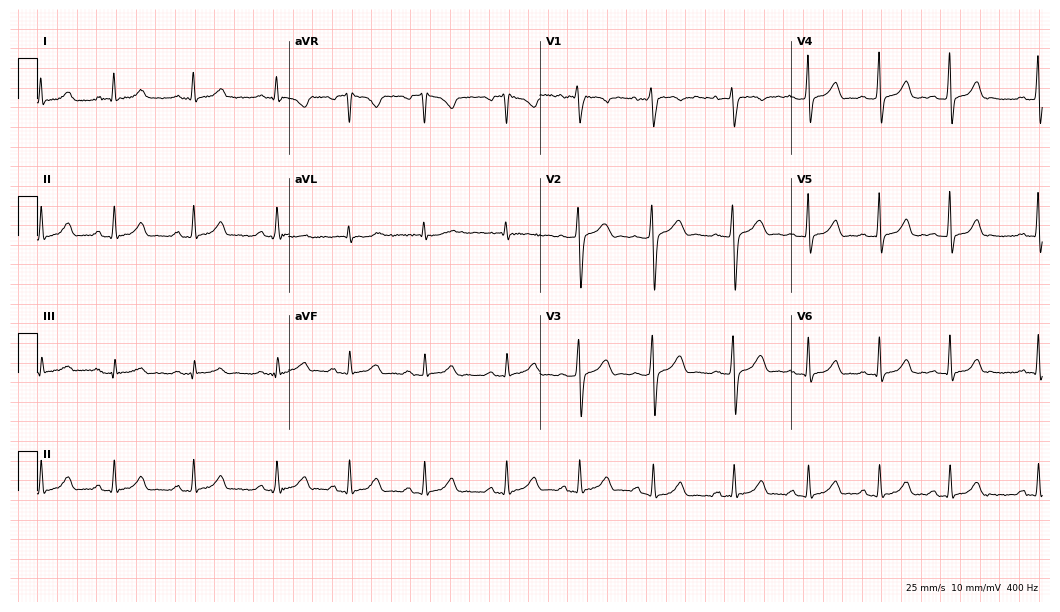
Standard 12-lead ECG recorded from a female patient, 24 years old. Read as a normal ECG.